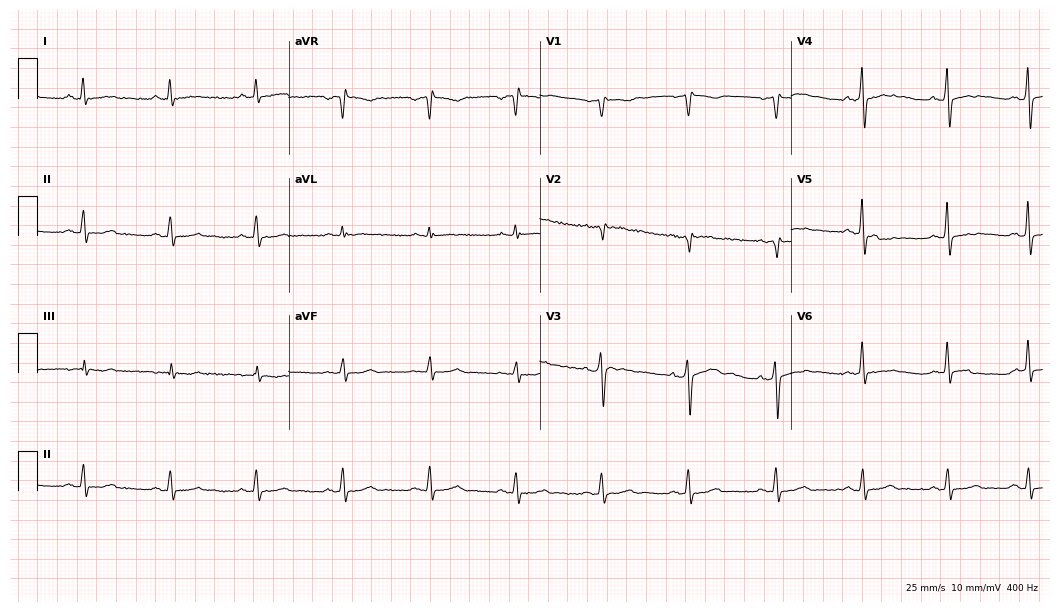
12-lead ECG from a male patient, 63 years old. Screened for six findings — first-degree AV block, right bundle branch block (RBBB), left bundle branch block (LBBB), sinus bradycardia, atrial fibrillation (AF), sinus tachycardia — none is recorded. Other findings, if any, are not listed.